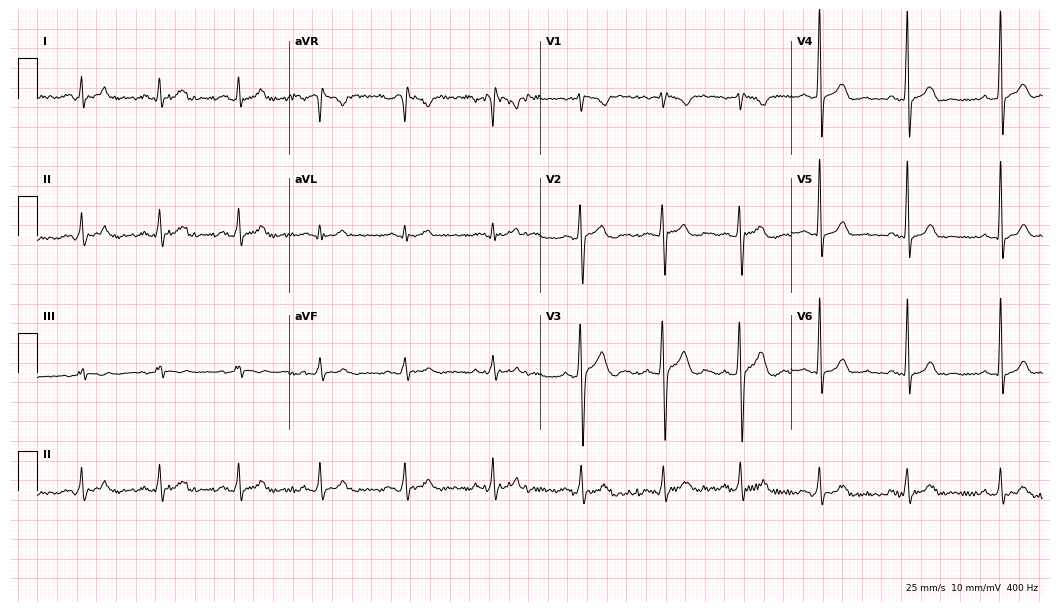
ECG (10.2-second recording at 400 Hz) — a 26-year-old male patient. Labelled as a normal ECG.